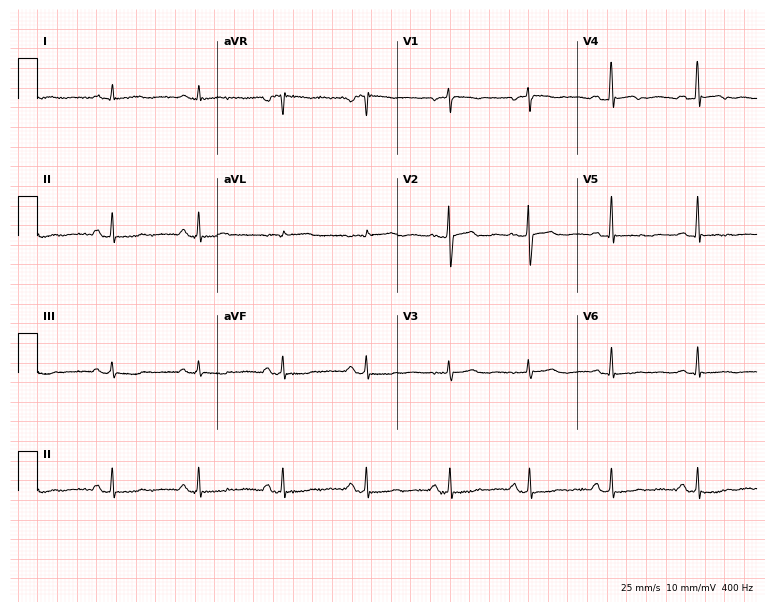
Standard 12-lead ECG recorded from a woman, 48 years old. None of these six findings is recorded: first-degree AV block, right bundle branch block (RBBB), left bundle branch block (LBBB), sinus bradycardia, atrial fibrillation (AF), sinus tachycardia.